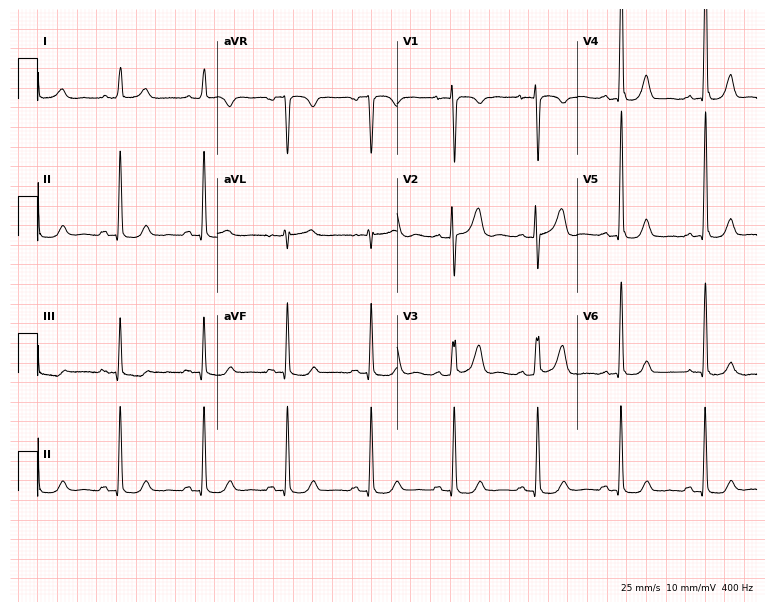
12-lead ECG from a 52-year-old female. No first-degree AV block, right bundle branch block, left bundle branch block, sinus bradycardia, atrial fibrillation or sinus tachycardia recorded for this tracing. Other findings, if any, are not listed.